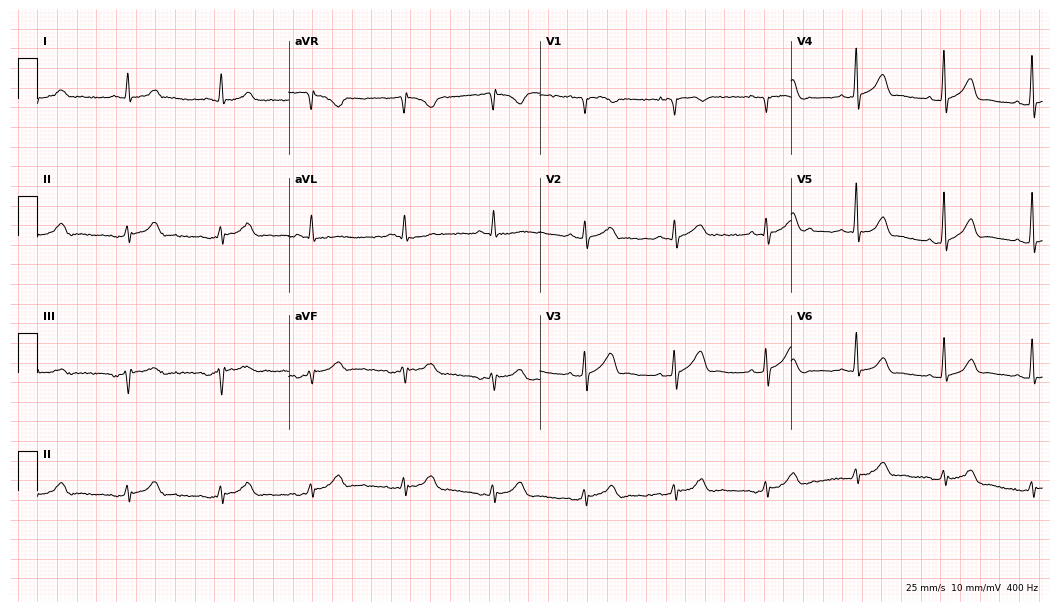
12-lead ECG (10.2-second recording at 400 Hz) from a male, 80 years old. Labelled as a normal ECG.